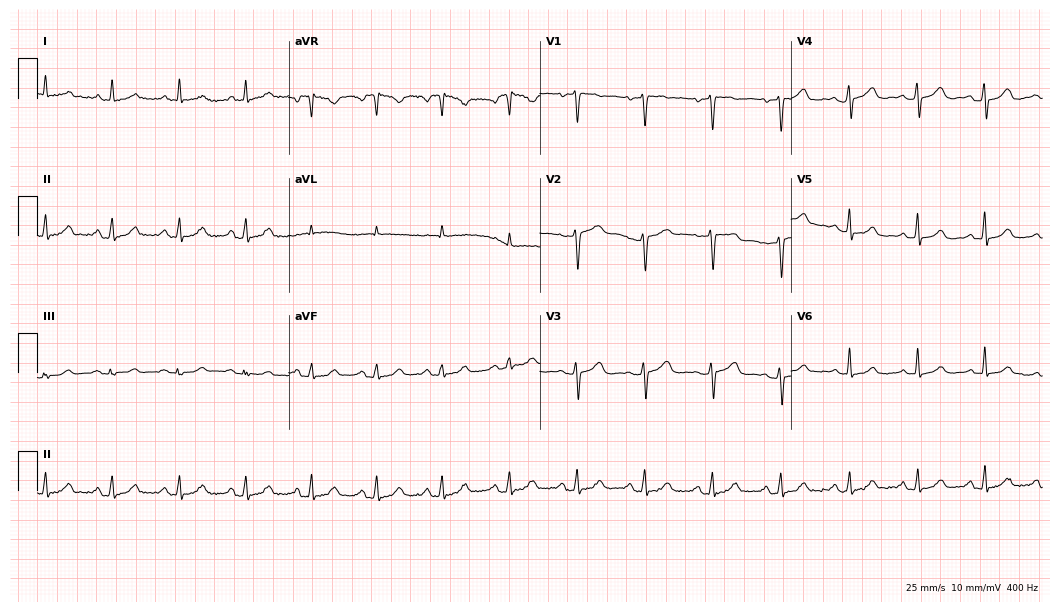
Resting 12-lead electrocardiogram (10.2-second recording at 400 Hz). Patient: a woman, 65 years old. None of these six findings is recorded: first-degree AV block, right bundle branch block, left bundle branch block, sinus bradycardia, atrial fibrillation, sinus tachycardia. Only these six findings were labelled.